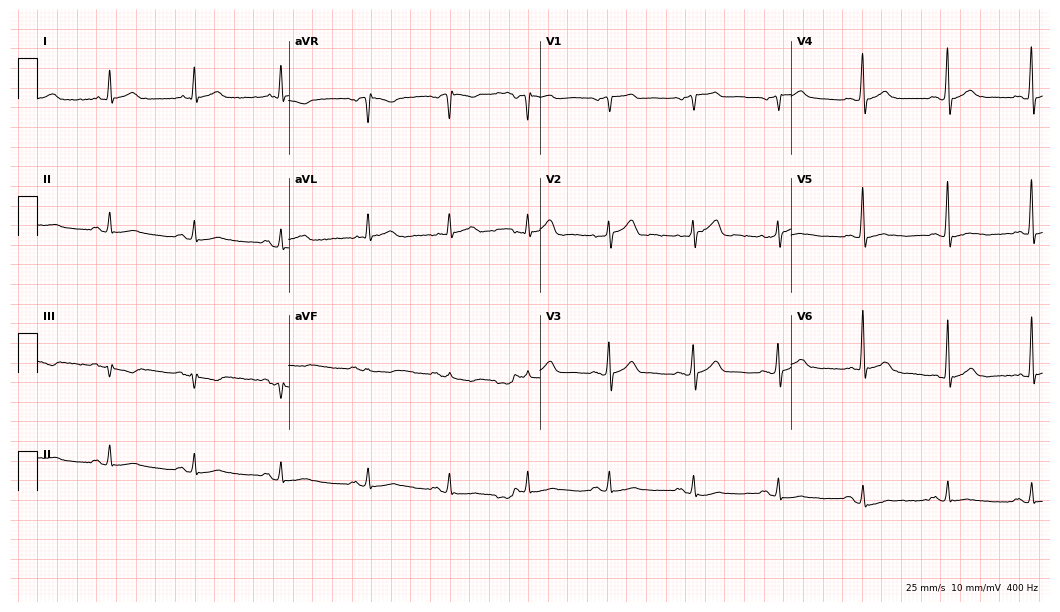
12-lead ECG (10.2-second recording at 400 Hz) from a male, 63 years old. Labelled as a normal ECG.